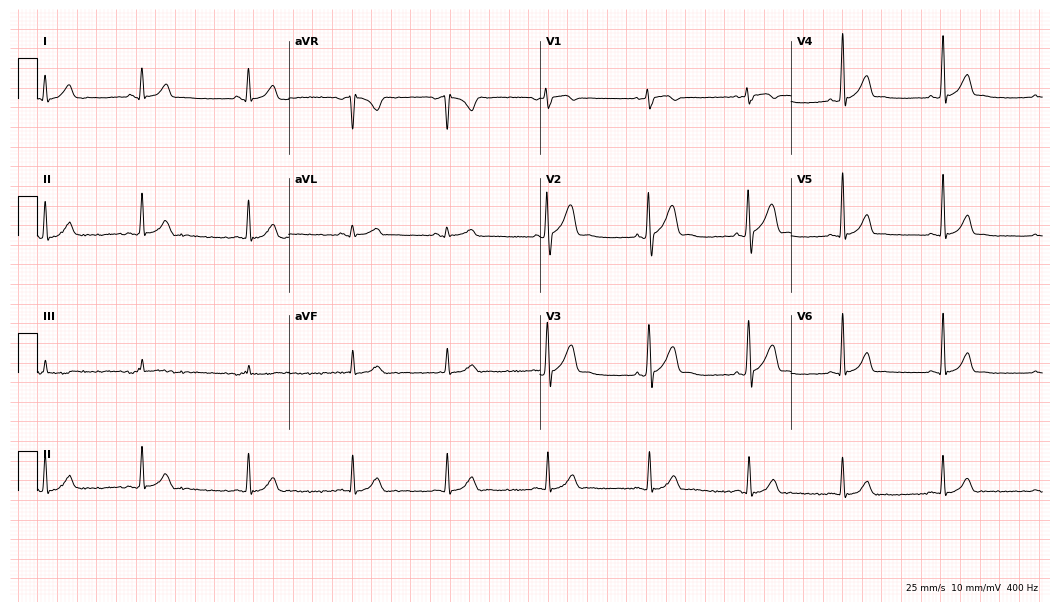
Standard 12-lead ECG recorded from a female patient, 29 years old (10.2-second recording at 400 Hz). None of these six findings is recorded: first-degree AV block, right bundle branch block, left bundle branch block, sinus bradycardia, atrial fibrillation, sinus tachycardia. Findings outside these six are not listed.